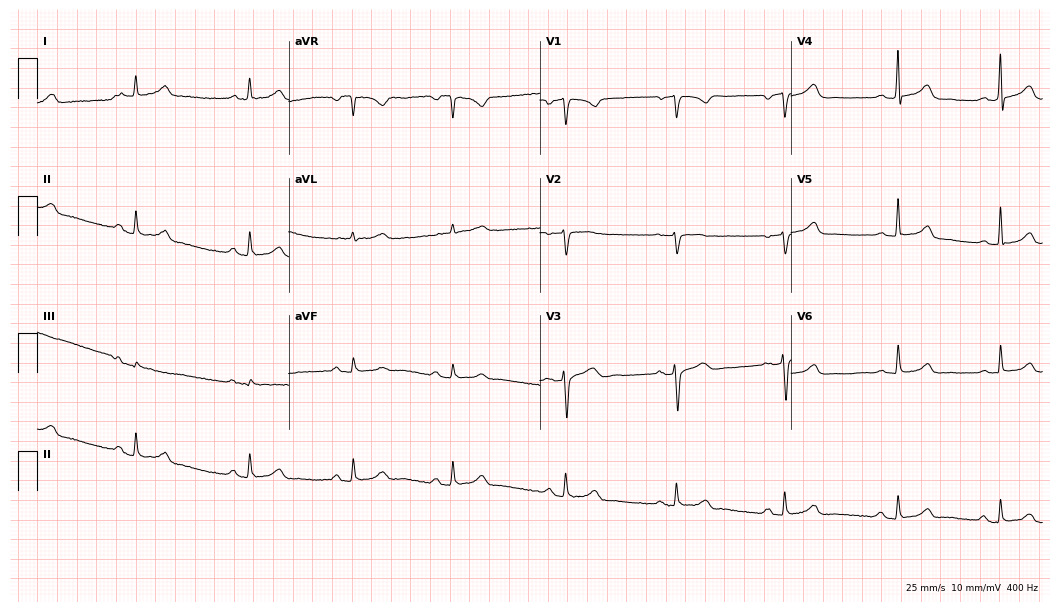
Electrocardiogram (10.2-second recording at 400 Hz), a 43-year-old woman. Overall reading on record: normal ECG.